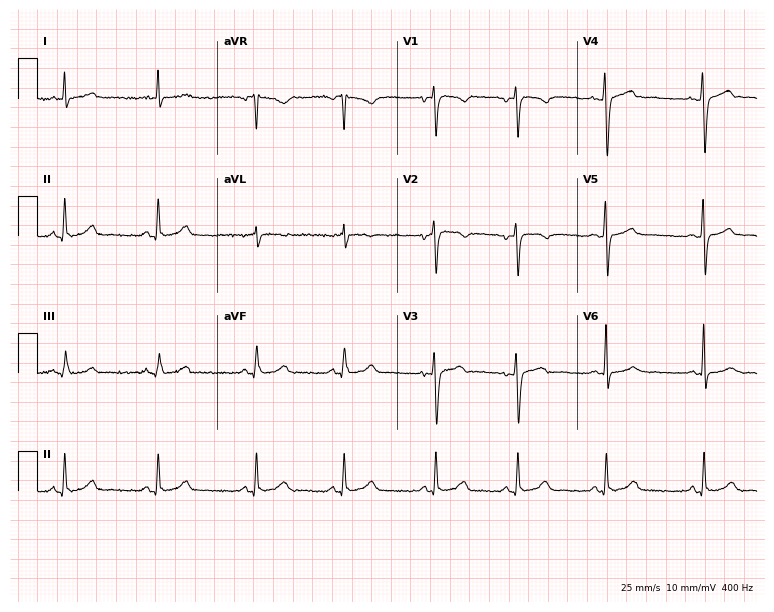
12-lead ECG from a 31-year-old female patient (7.3-second recording at 400 Hz). Recorded interpretation: within normal limits.